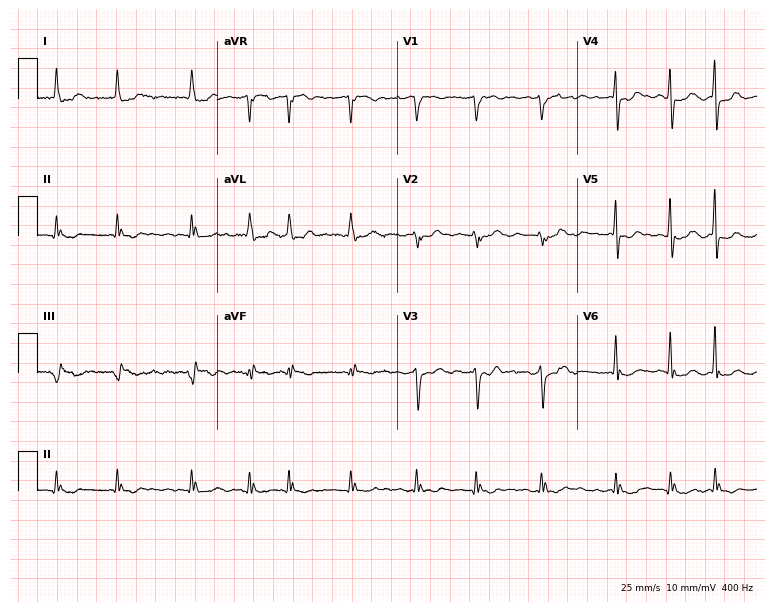
12-lead ECG from a 77-year-old female patient (7.3-second recording at 400 Hz). Shows atrial fibrillation.